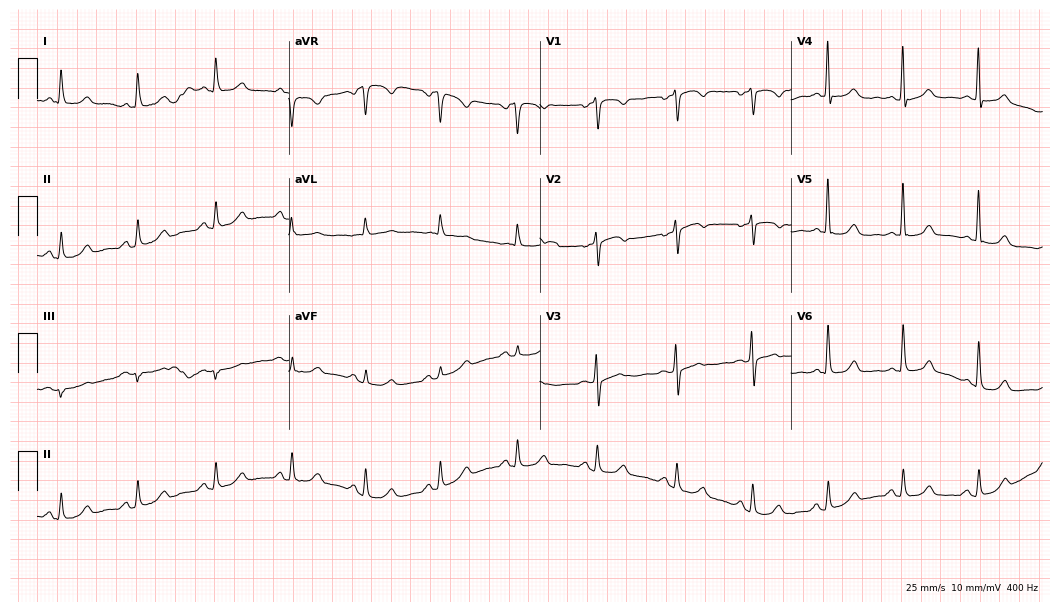
12-lead ECG from a 55-year-old female patient (10.2-second recording at 400 Hz). Recorded interpretation: within normal limits.